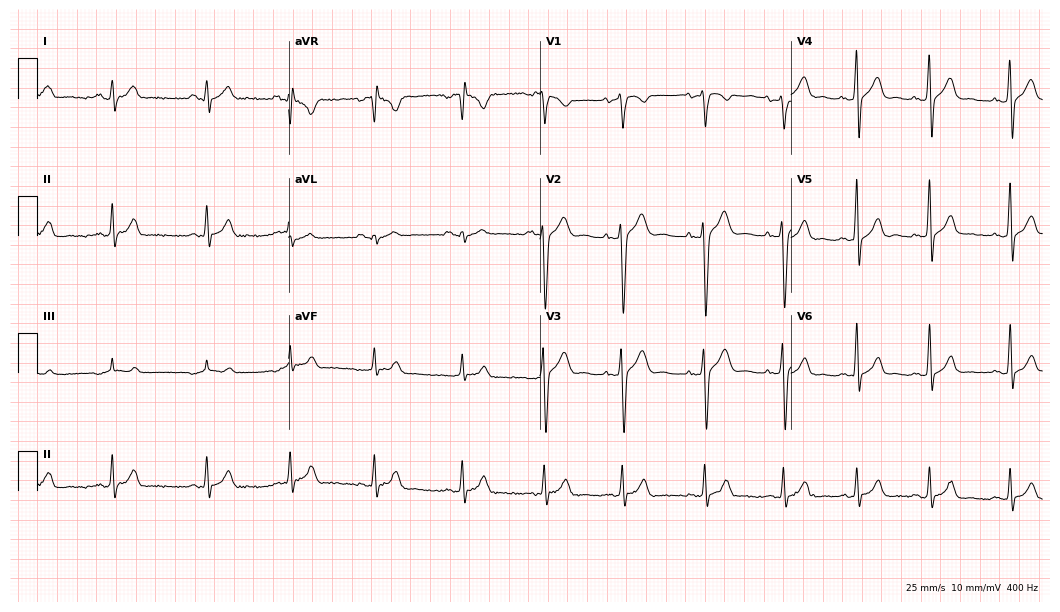
Electrocardiogram, a male patient, 22 years old. Overall reading on record: normal ECG.